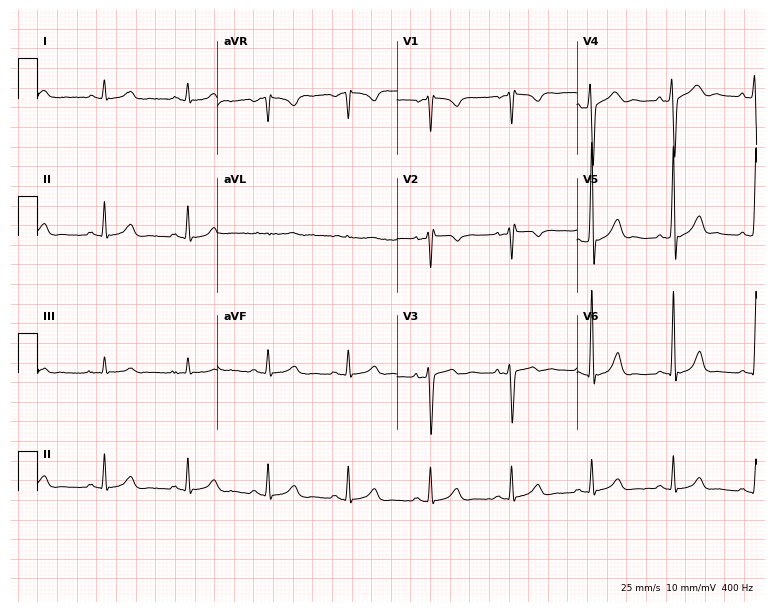
Standard 12-lead ECG recorded from a 39-year-old male patient. None of these six findings is recorded: first-degree AV block, right bundle branch block, left bundle branch block, sinus bradycardia, atrial fibrillation, sinus tachycardia.